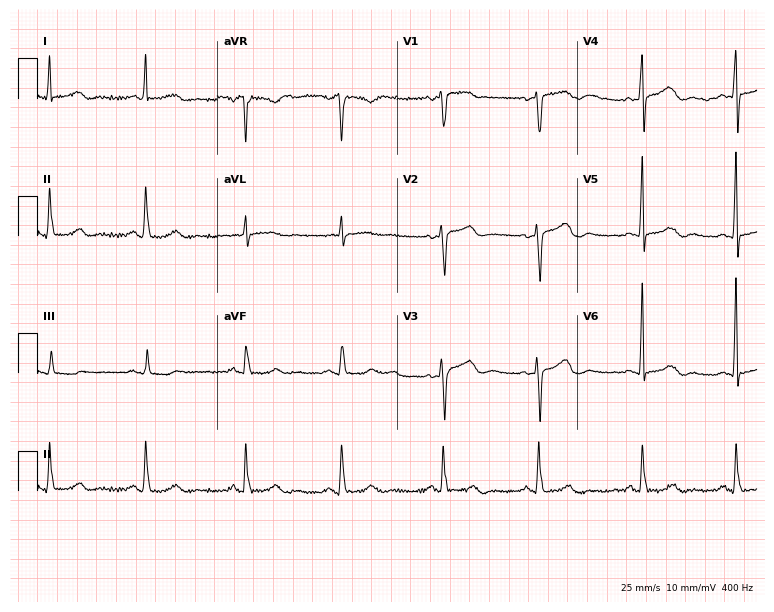
ECG (7.3-second recording at 400 Hz) — a 61-year-old female. Labelled as a normal ECG.